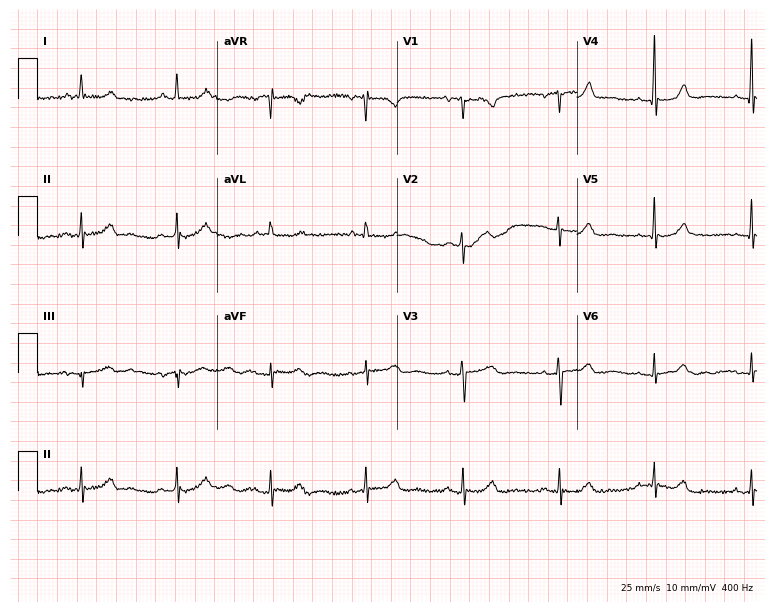
12-lead ECG from a 69-year-old female. Recorded interpretation: within normal limits.